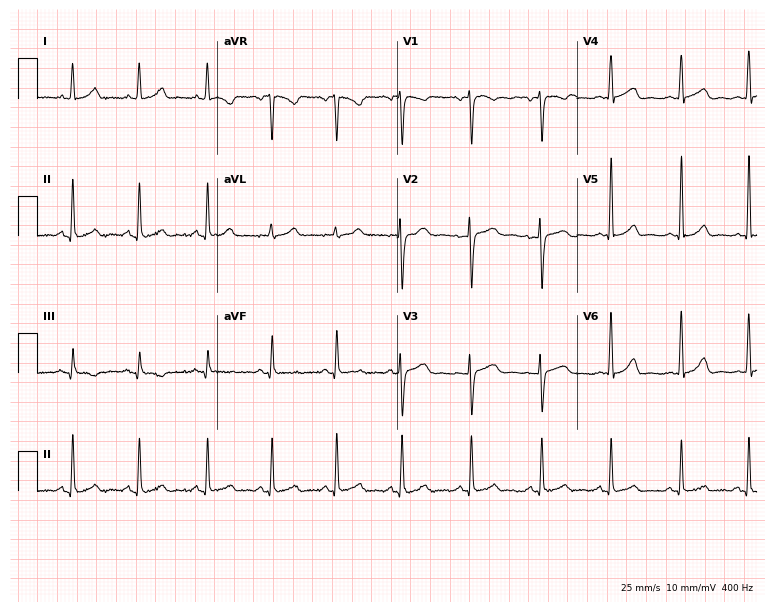
12-lead ECG from a female, 32 years old. Labelled as a normal ECG.